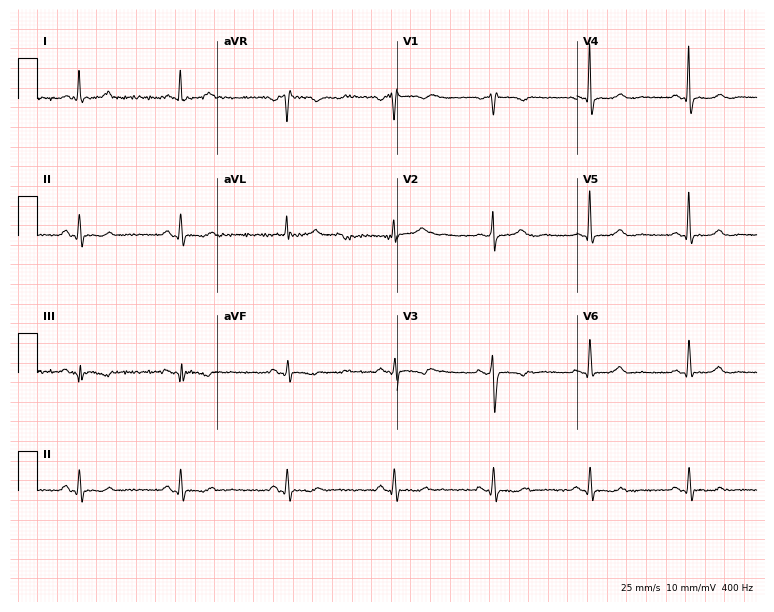
Resting 12-lead electrocardiogram. Patient: a 50-year-old female. None of these six findings is recorded: first-degree AV block, right bundle branch block (RBBB), left bundle branch block (LBBB), sinus bradycardia, atrial fibrillation (AF), sinus tachycardia.